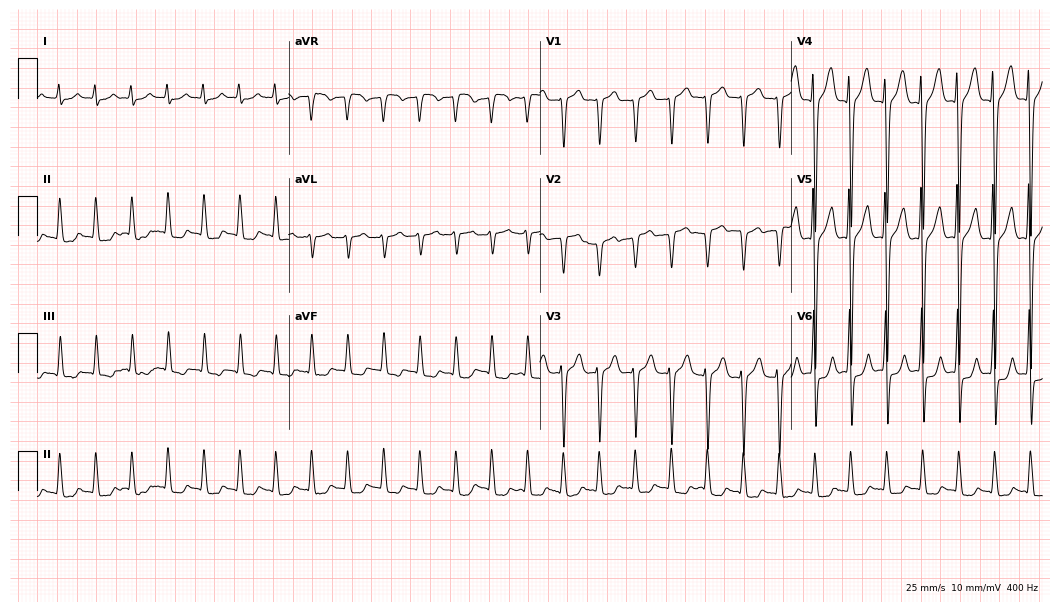
12-lead ECG (10.2-second recording at 400 Hz) from a male, 75 years old. Findings include atrial fibrillation.